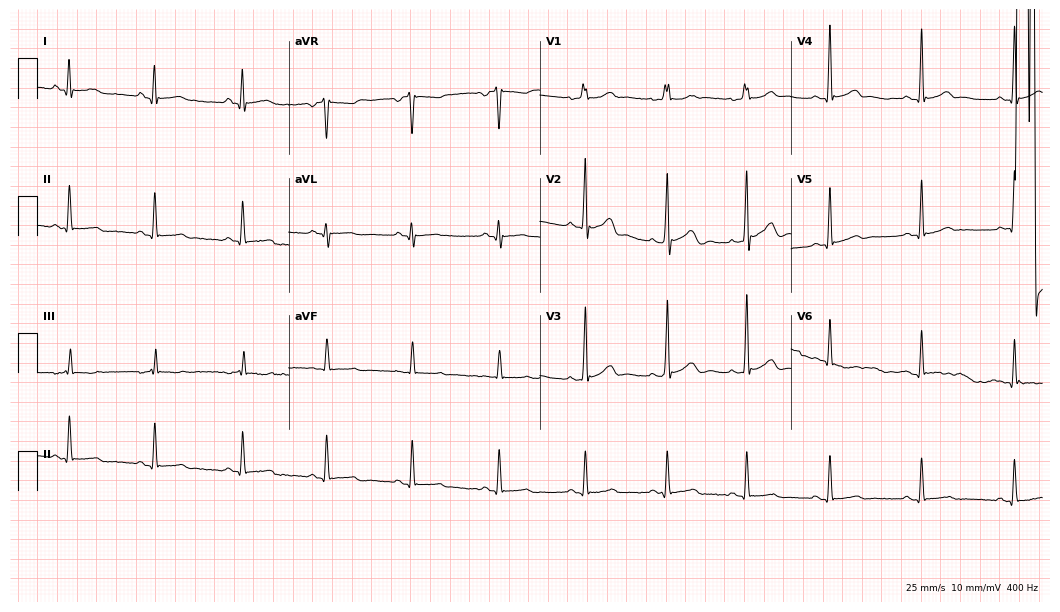
12-lead ECG (10.2-second recording at 400 Hz) from a 31-year-old male. Screened for six findings — first-degree AV block, right bundle branch block, left bundle branch block, sinus bradycardia, atrial fibrillation, sinus tachycardia — none is recorded. Other findings, if any, are not listed.